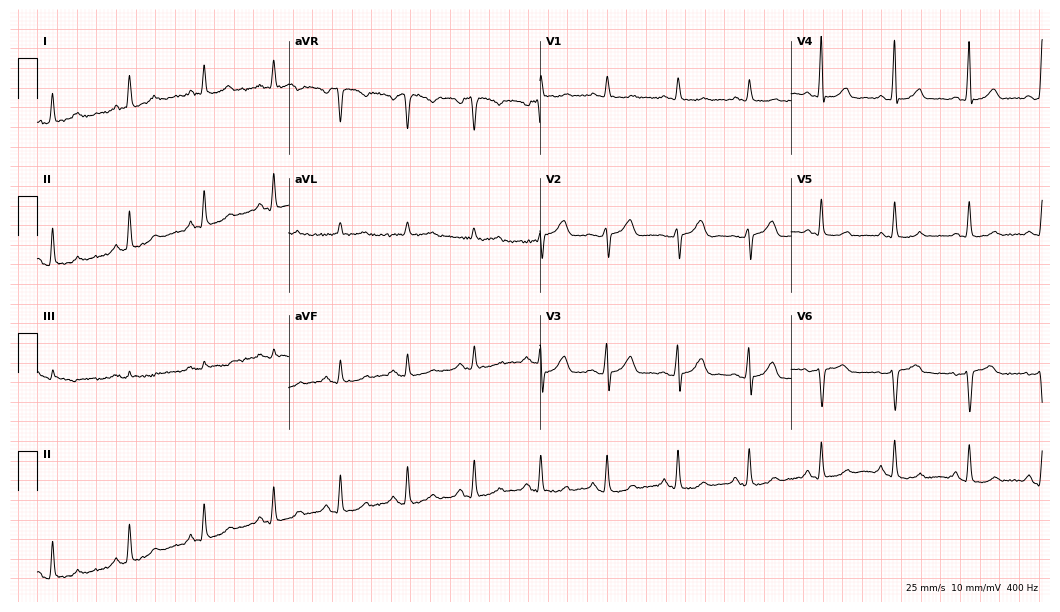
12-lead ECG from a 64-year-old female patient. No first-degree AV block, right bundle branch block, left bundle branch block, sinus bradycardia, atrial fibrillation or sinus tachycardia recorded for this tracing. Only these six findings were labelled.